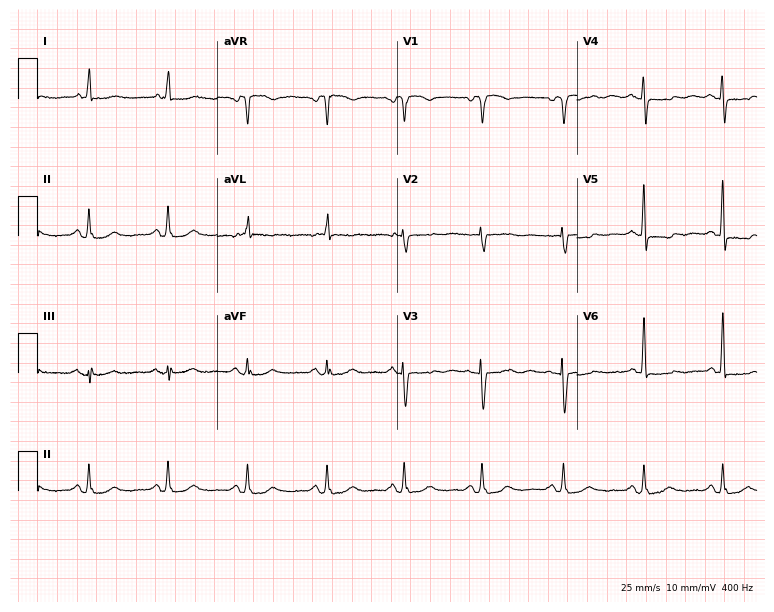
ECG (7.3-second recording at 400 Hz) — an 85-year-old female. Labelled as a normal ECG.